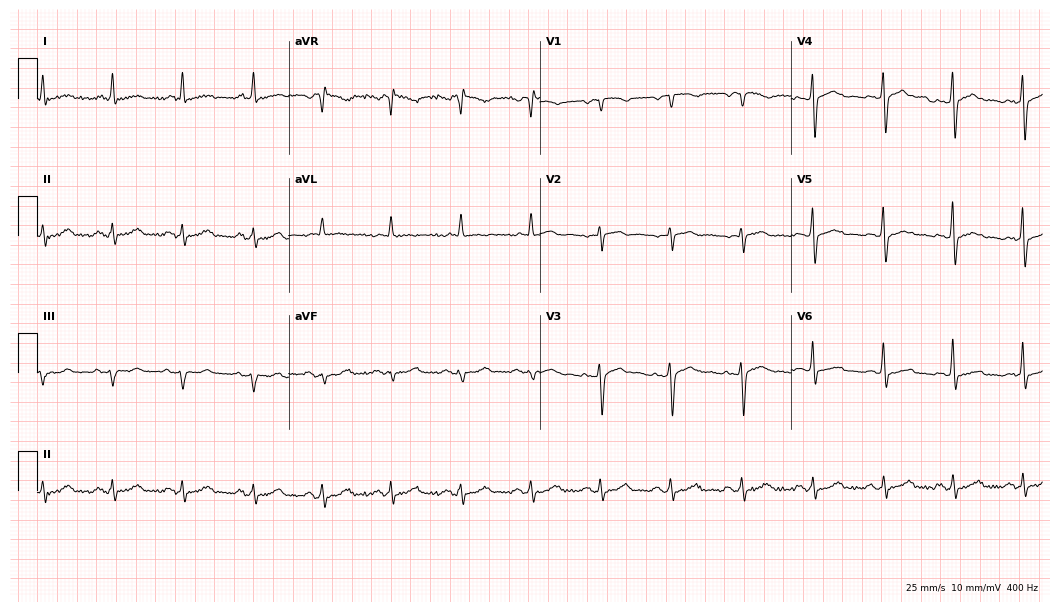
12-lead ECG from a 66-year-old female. Recorded interpretation: within normal limits.